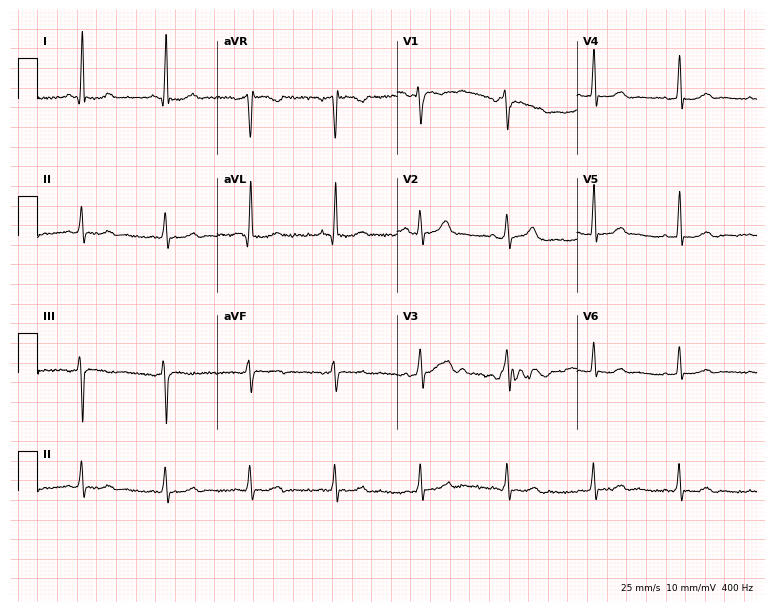
ECG — a 70-year-old man. Labelled as a normal ECG.